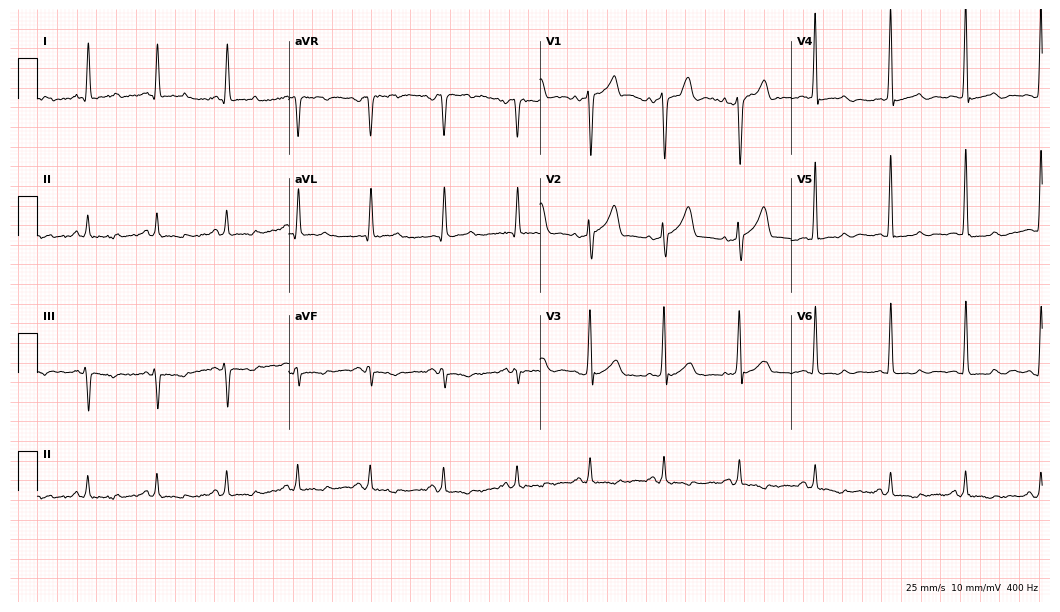
Resting 12-lead electrocardiogram. Patient: a male, 60 years old. None of these six findings is recorded: first-degree AV block, right bundle branch block, left bundle branch block, sinus bradycardia, atrial fibrillation, sinus tachycardia.